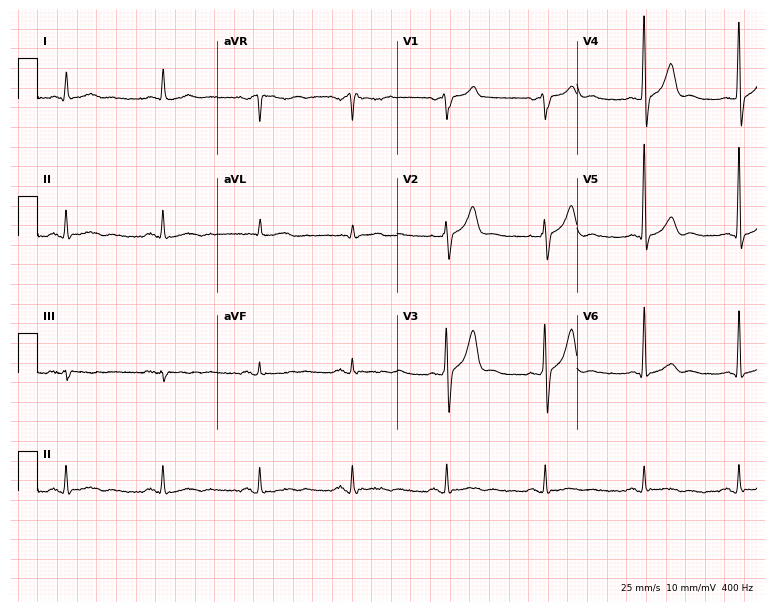
ECG (7.3-second recording at 400 Hz) — a 54-year-old man. Screened for six findings — first-degree AV block, right bundle branch block, left bundle branch block, sinus bradycardia, atrial fibrillation, sinus tachycardia — none is recorded. Findings outside these six are not listed.